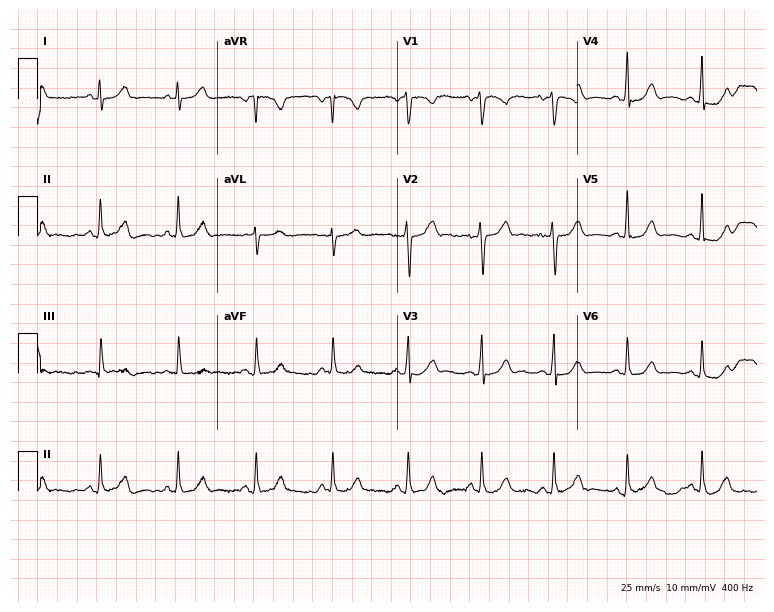
Resting 12-lead electrocardiogram (7.3-second recording at 400 Hz). Patient: a female, 32 years old. Read as a normal ECG.